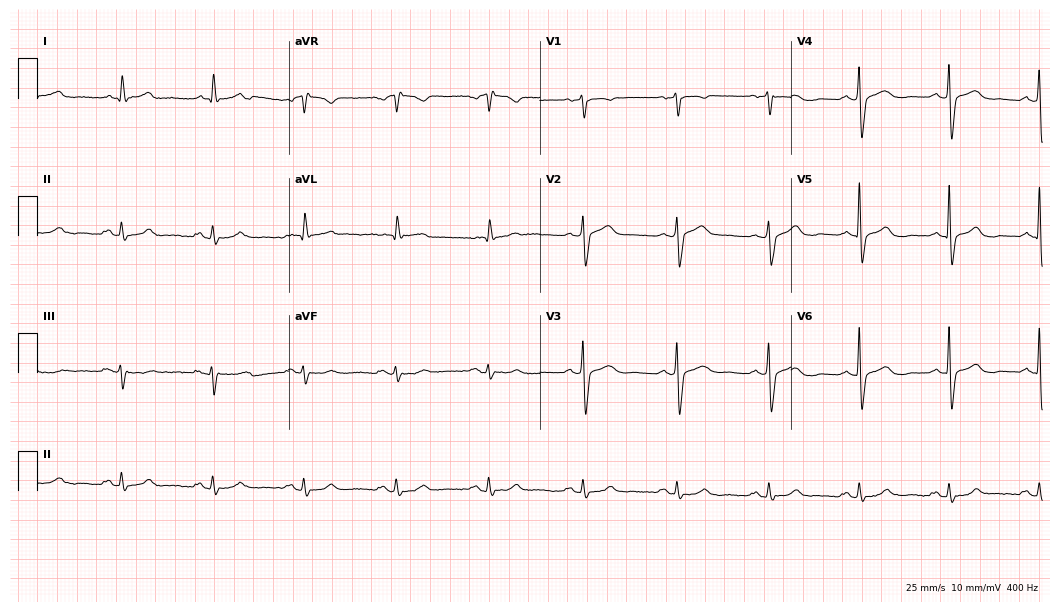
Electrocardiogram, a man, 58 years old. Of the six screened findings (first-degree AV block, right bundle branch block, left bundle branch block, sinus bradycardia, atrial fibrillation, sinus tachycardia), none is recorded. Other findings, if any, are not listed.